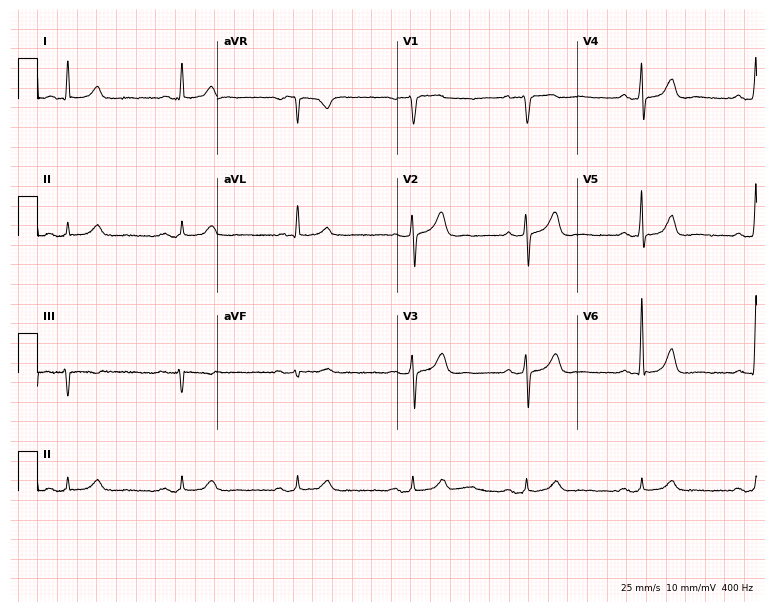
12-lead ECG from a man, 75 years old. Recorded interpretation: within normal limits.